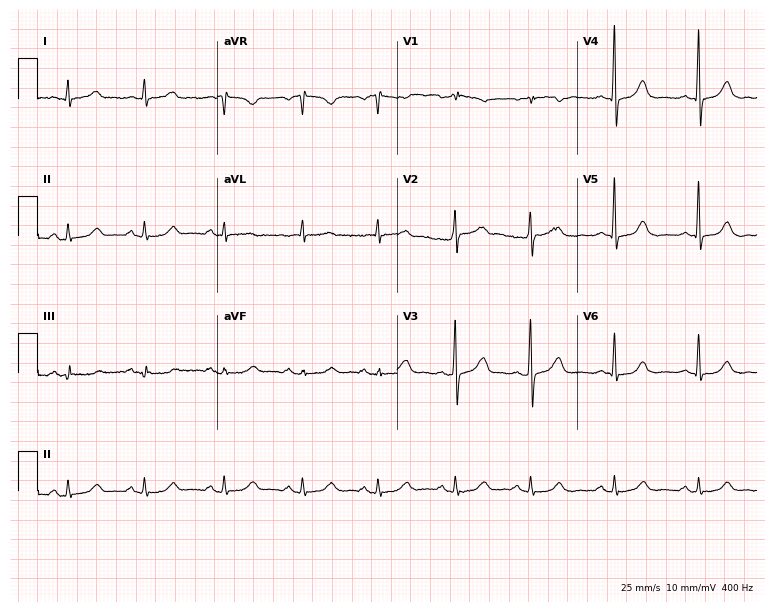
ECG (7.3-second recording at 400 Hz) — a female patient, 58 years old. Screened for six findings — first-degree AV block, right bundle branch block, left bundle branch block, sinus bradycardia, atrial fibrillation, sinus tachycardia — none is recorded.